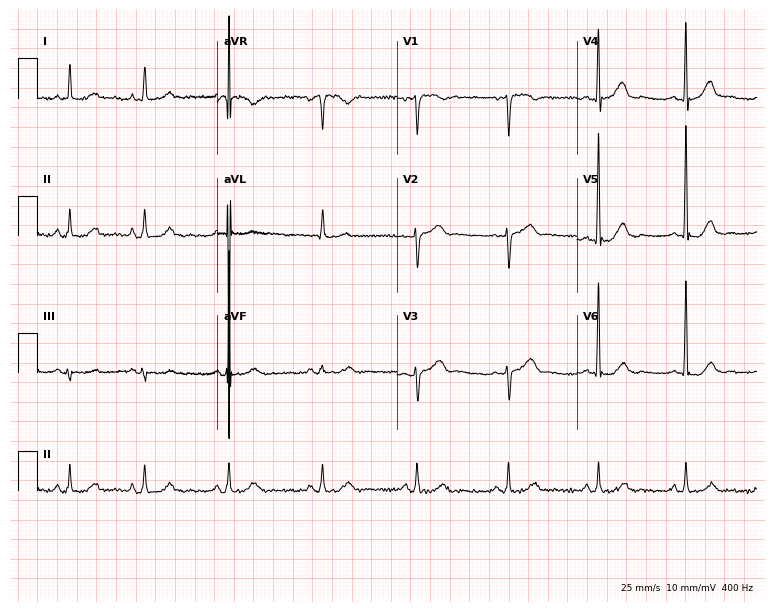
Resting 12-lead electrocardiogram. Patient: a 78-year-old woman. None of these six findings is recorded: first-degree AV block, right bundle branch block, left bundle branch block, sinus bradycardia, atrial fibrillation, sinus tachycardia. Findings outside these six are not listed.